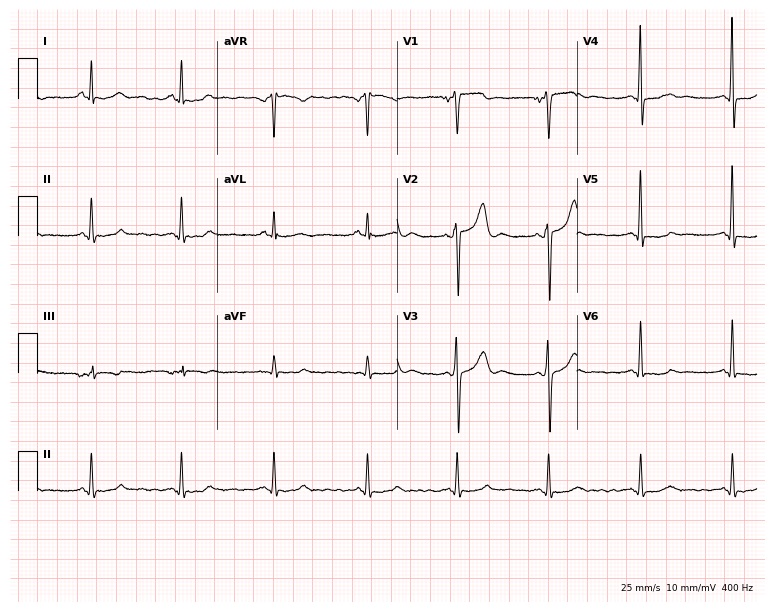
ECG — a male, 46 years old. Labelled as a normal ECG.